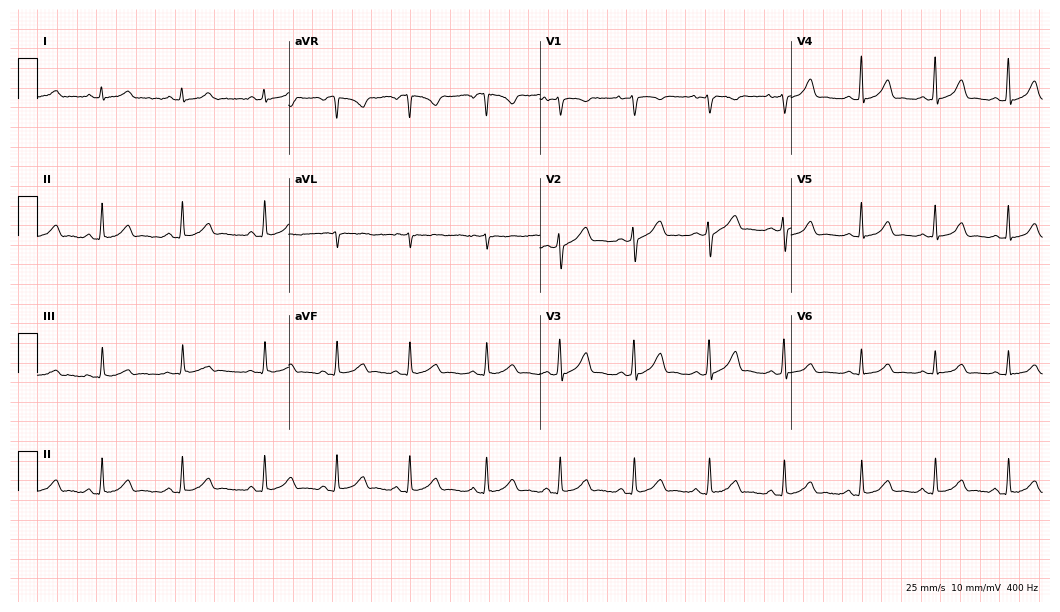
12-lead ECG from a 22-year-old female patient. Labelled as a normal ECG.